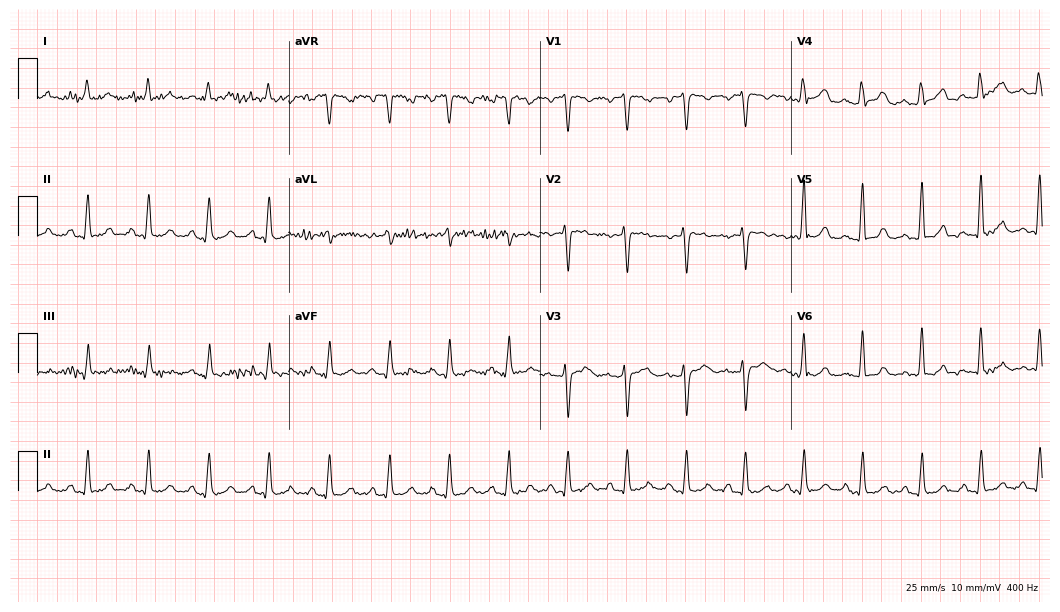
Resting 12-lead electrocardiogram. Patient: a 54-year-old female. Read as a normal ECG.